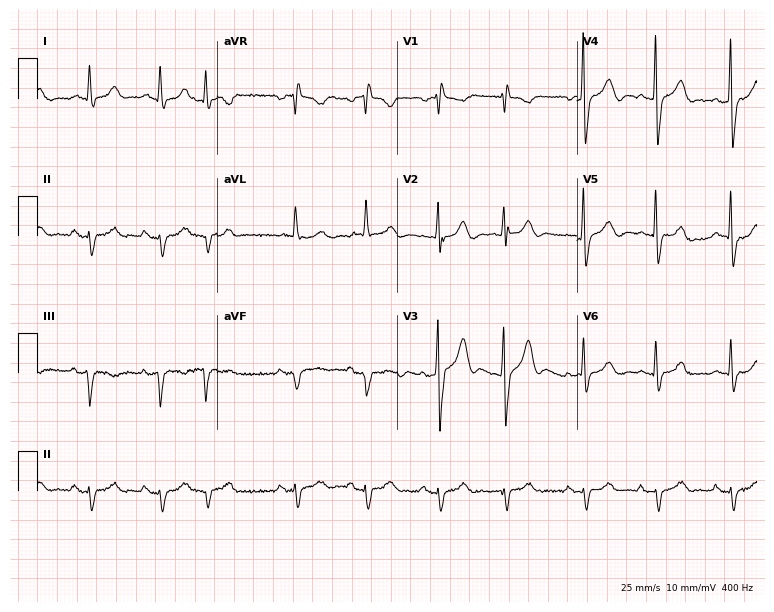
Resting 12-lead electrocardiogram. Patient: a male, 63 years old. None of these six findings is recorded: first-degree AV block, right bundle branch block, left bundle branch block, sinus bradycardia, atrial fibrillation, sinus tachycardia.